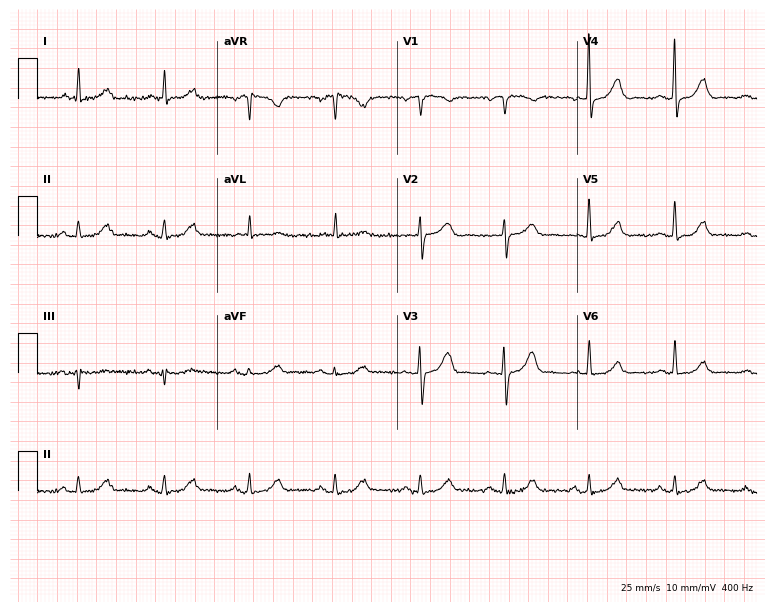
Resting 12-lead electrocardiogram. Patient: a woman, 84 years old. Read as a normal ECG.